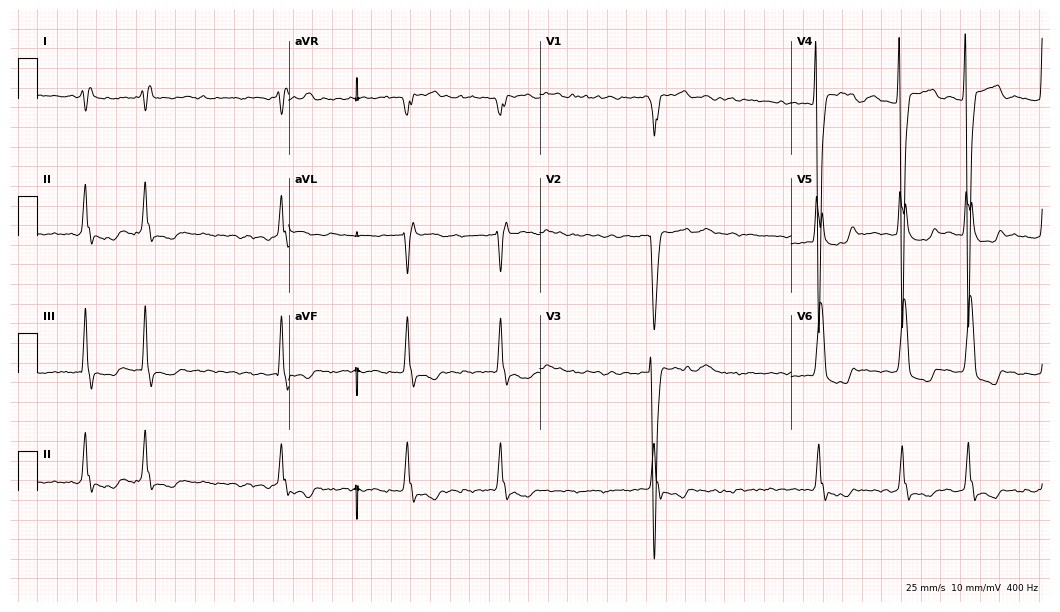
ECG (10.2-second recording at 400 Hz) — a 30-year-old man. Findings include left bundle branch block (LBBB), atrial fibrillation (AF).